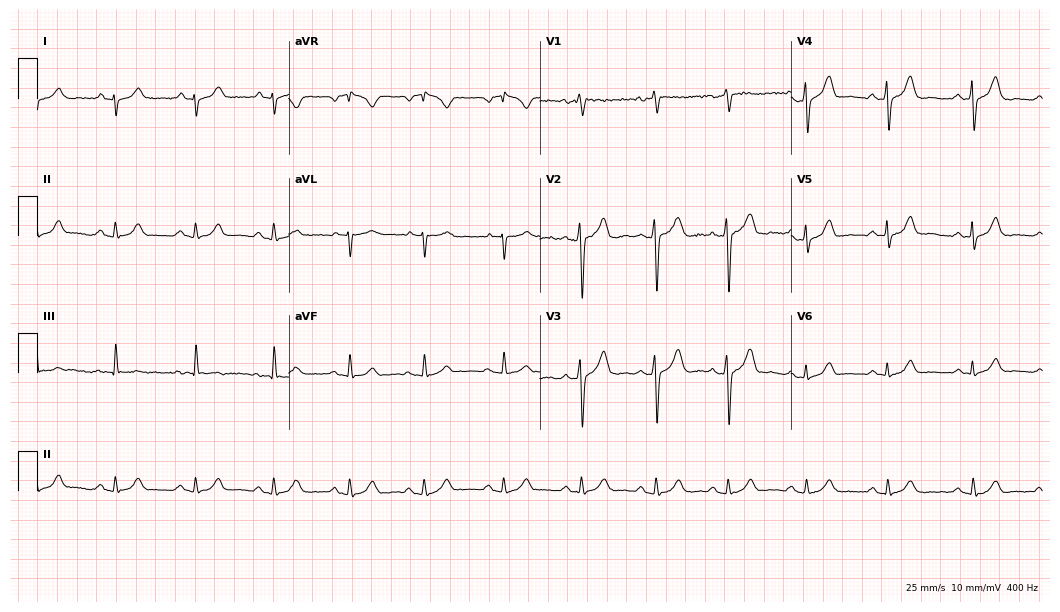
Resting 12-lead electrocardiogram. Patient: a man, 28 years old. Read as a normal ECG.